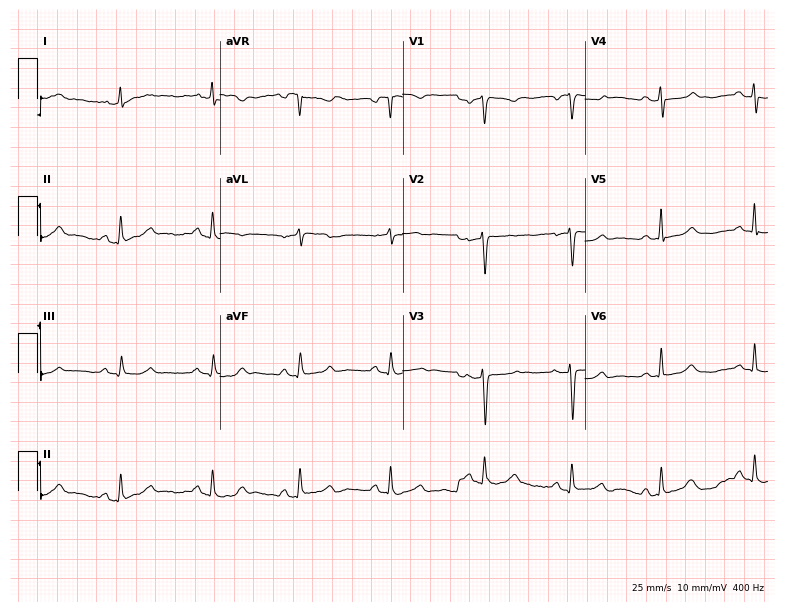
ECG (7.4-second recording at 400 Hz) — a female patient, 50 years old. Labelled as a normal ECG.